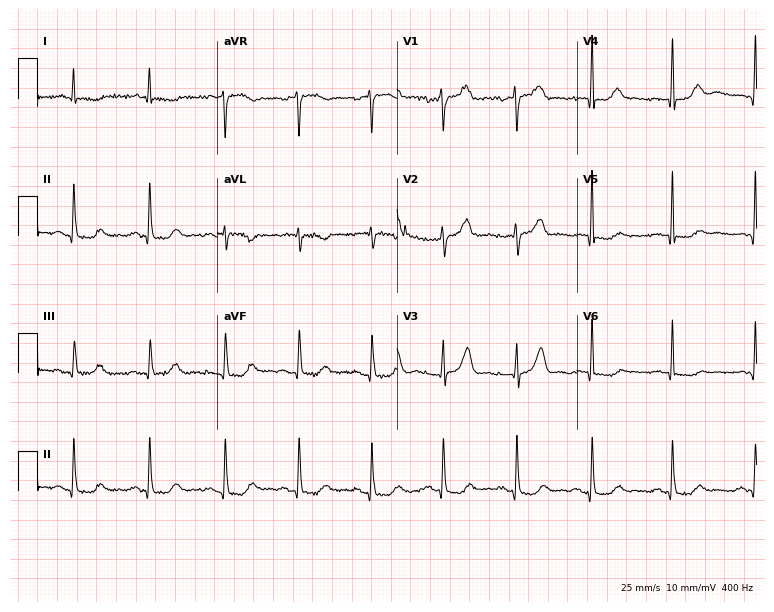
12-lead ECG from a 77-year-old woman (7.3-second recording at 400 Hz). No first-degree AV block, right bundle branch block (RBBB), left bundle branch block (LBBB), sinus bradycardia, atrial fibrillation (AF) or sinus tachycardia recorded for this tracing.